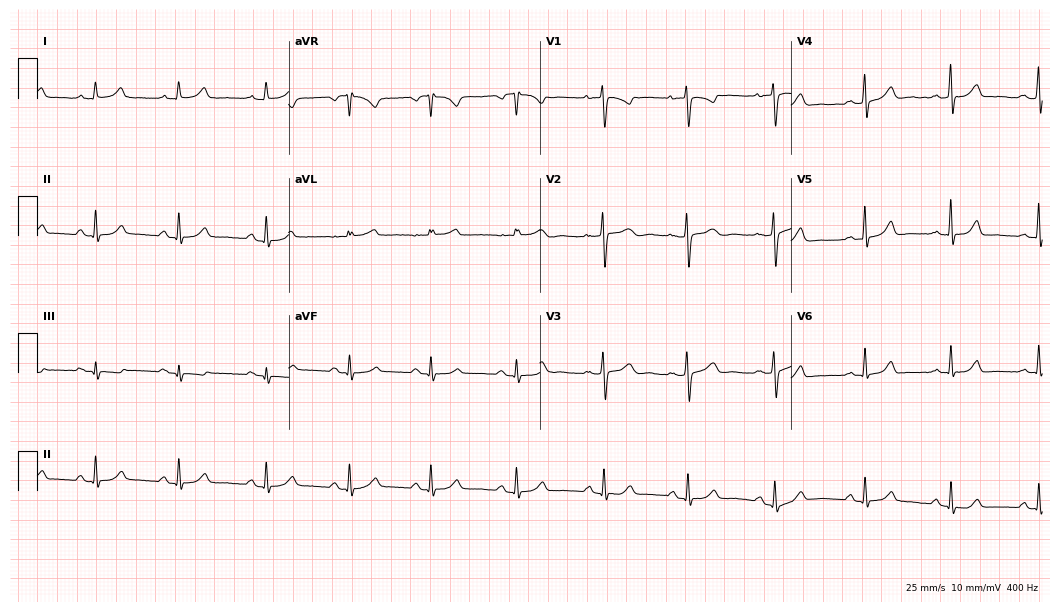
Standard 12-lead ECG recorded from a female, 28 years old. Read as a normal ECG.